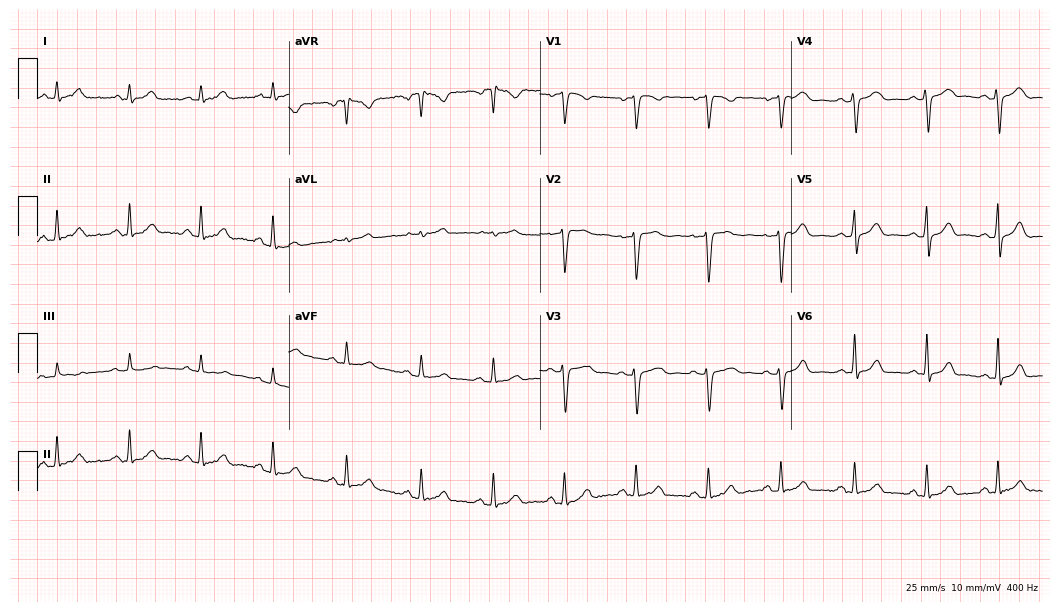
ECG — a 25-year-old woman. Labelled as a normal ECG.